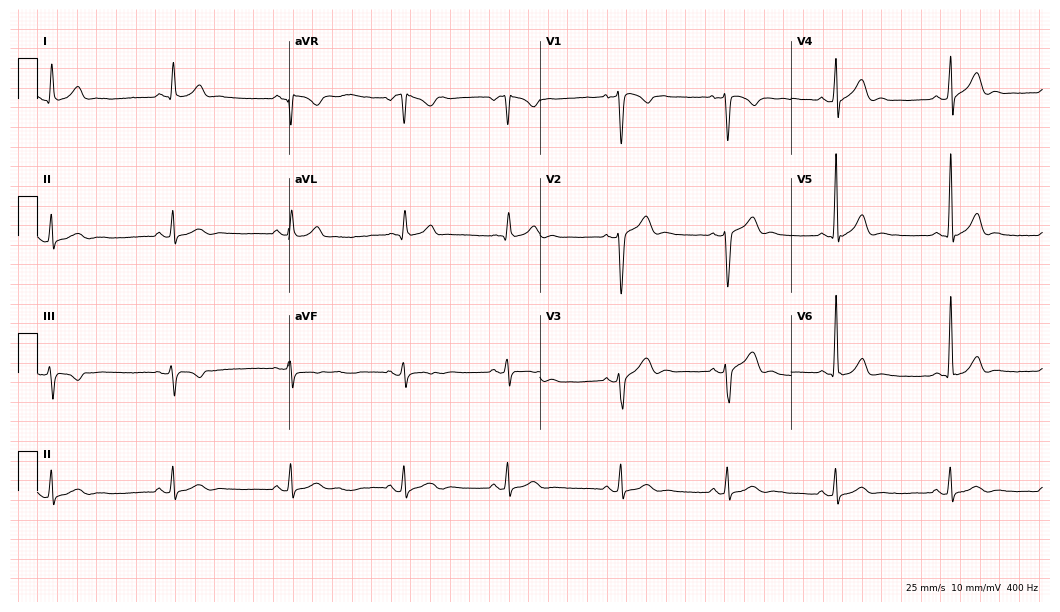
ECG (10.2-second recording at 400 Hz) — a 38-year-old male patient. Labelled as a normal ECG.